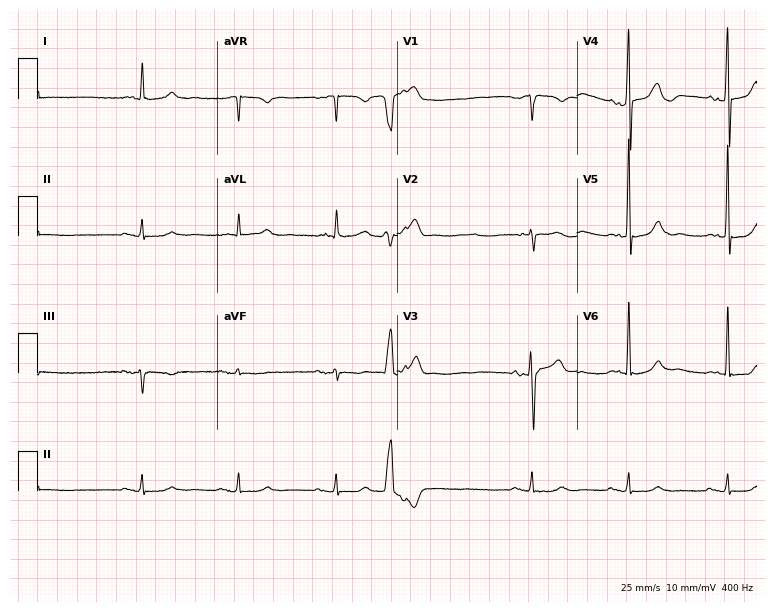
12-lead ECG from a male, 28 years old. Labelled as a normal ECG.